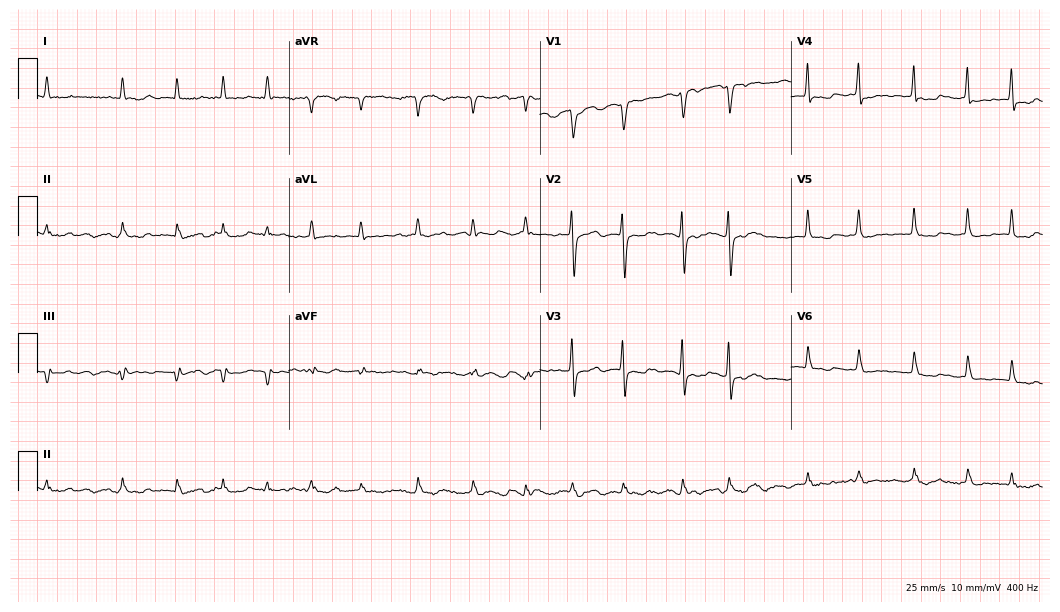
Resting 12-lead electrocardiogram. Patient: a female, 67 years old. The tracing shows atrial fibrillation.